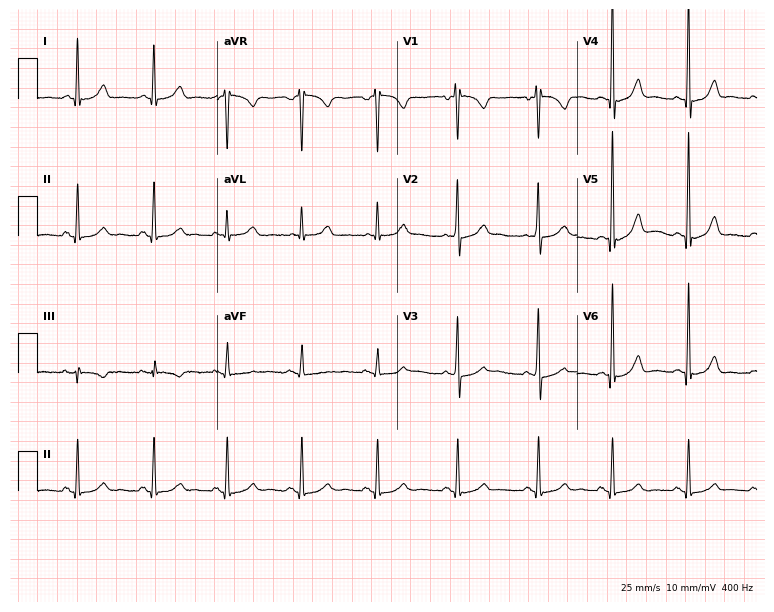
ECG — a female patient, 49 years old. Labelled as a normal ECG.